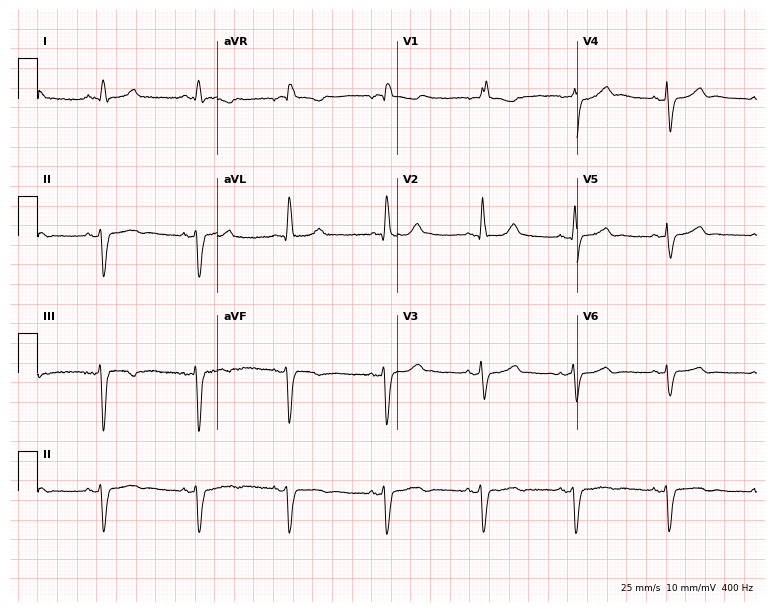
Resting 12-lead electrocardiogram (7.3-second recording at 400 Hz). Patient: a woman, 83 years old. None of these six findings is recorded: first-degree AV block, right bundle branch block (RBBB), left bundle branch block (LBBB), sinus bradycardia, atrial fibrillation (AF), sinus tachycardia. Only these six findings were labelled.